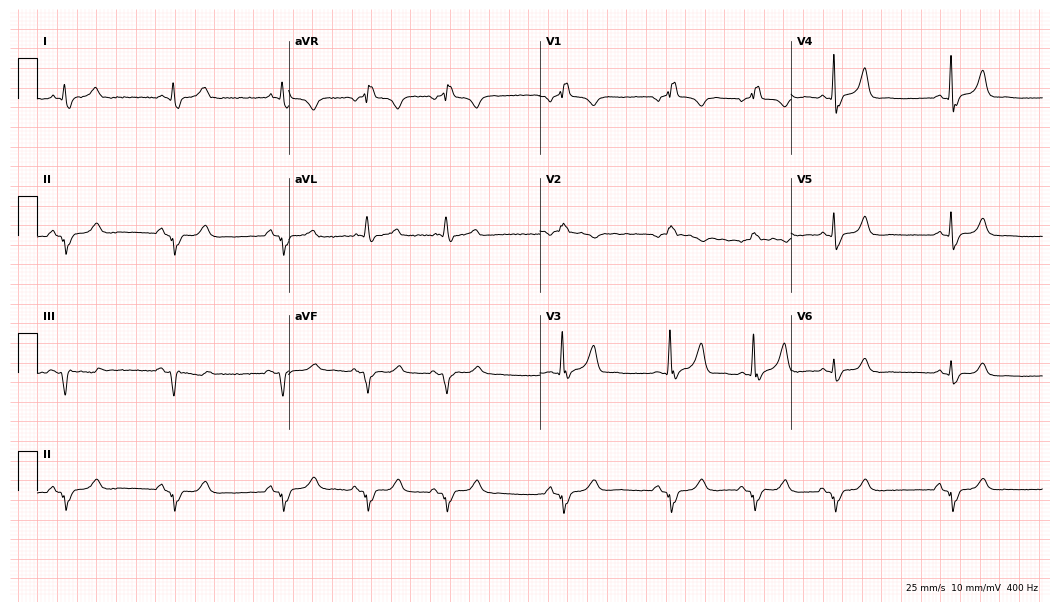
12-lead ECG (10.2-second recording at 400 Hz) from a man, 82 years old. Findings include right bundle branch block.